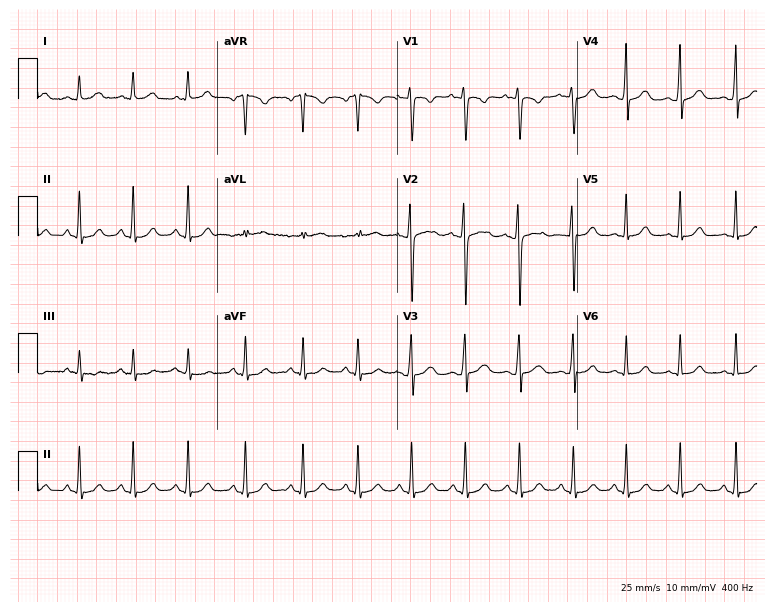
Resting 12-lead electrocardiogram. Patient: a 27-year-old female. The tracing shows sinus tachycardia (a sinus rate of 100 beats per minute or more).